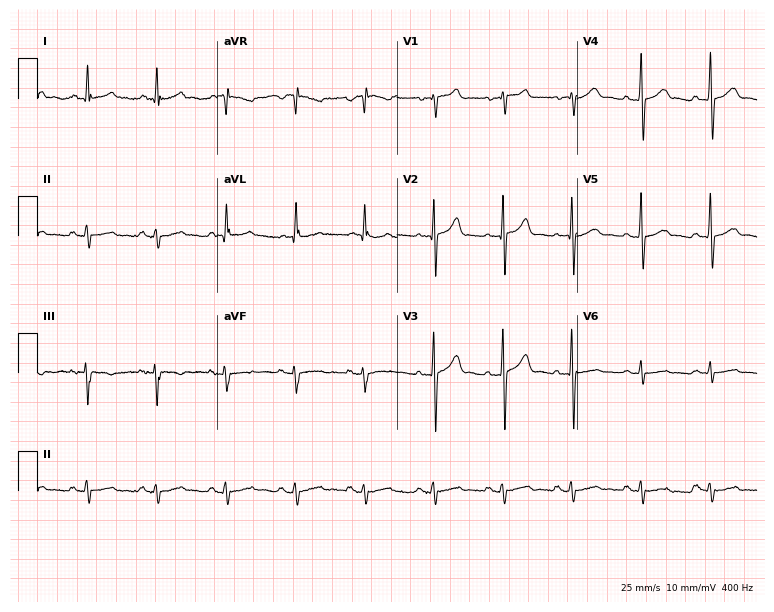
Standard 12-lead ECG recorded from a male, 57 years old. None of these six findings is recorded: first-degree AV block, right bundle branch block, left bundle branch block, sinus bradycardia, atrial fibrillation, sinus tachycardia.